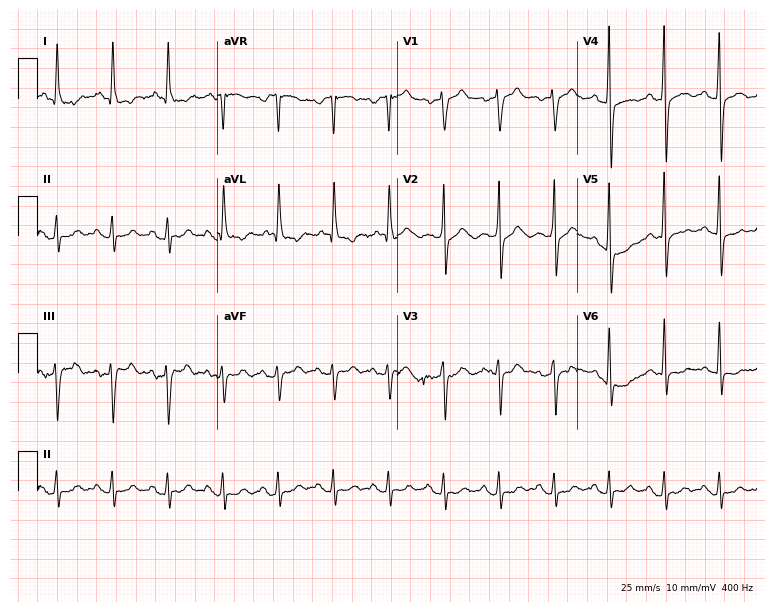
Resting 12-lead electrocardiogram (7.3-second recording at 400 Hz). Patient: a 72-year-old male. The tracing shows sinus tachycardia (a sinus rate of 100 beats per minute or more).